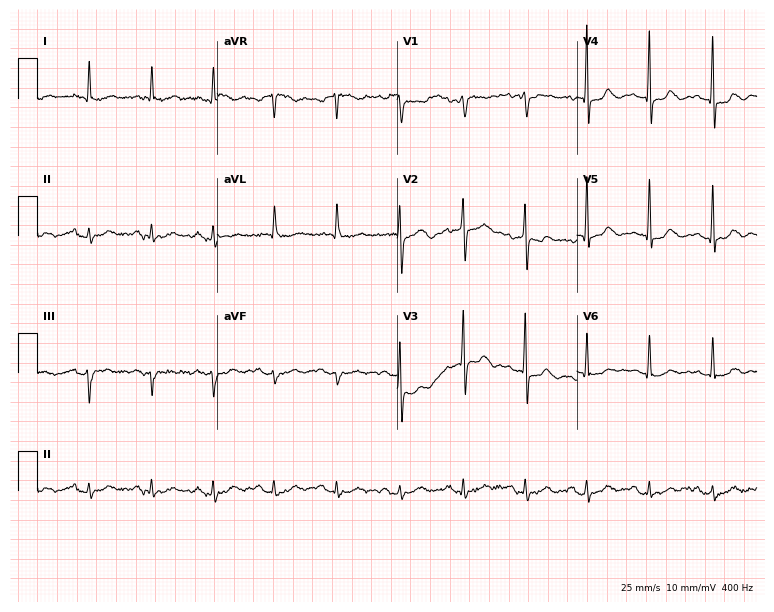
12-lead ECG (7.3-second recording at 400 Hz) from an 85-year-old female patient. Screened for six findings — first-degree AV block, right bundle branch block, left bundle branch block, sinus bradycardia, atrial fibrillation, sinus tachycardia — none is recorded. Only these six findings were labelled.